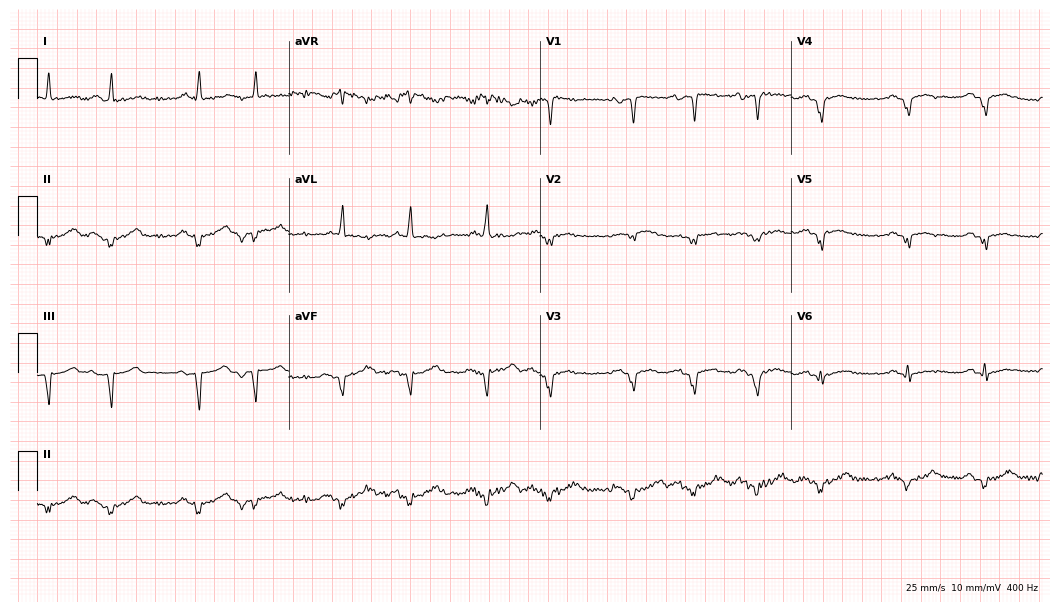
12-lead ECG (10.2-second recording at 400 Hz) from an 82-year-old man. Screened for six findings — first-degree AV block, right bundle branch block, left bundle branch block, sinus bradycardia, atrial fibrillation, sinus tachycardia — none is recorded.